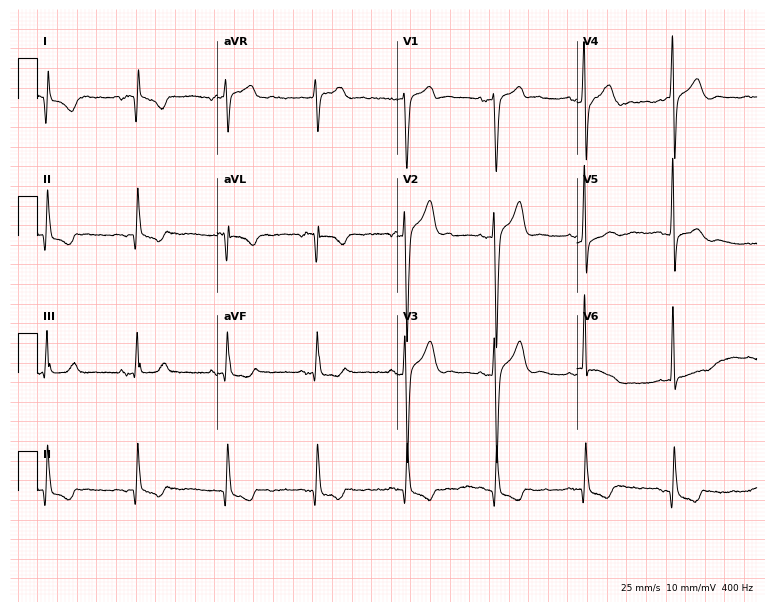
Standard 12-lead ECG recorded from a male patient, 66 years old (7.3-second recording at 400 Hz). None of these six findings is recorded: first-degree AV block, right bundle branch block, left bundle branch block, sinus bradycardia, atrial fibrillation, sinus tachycardia.